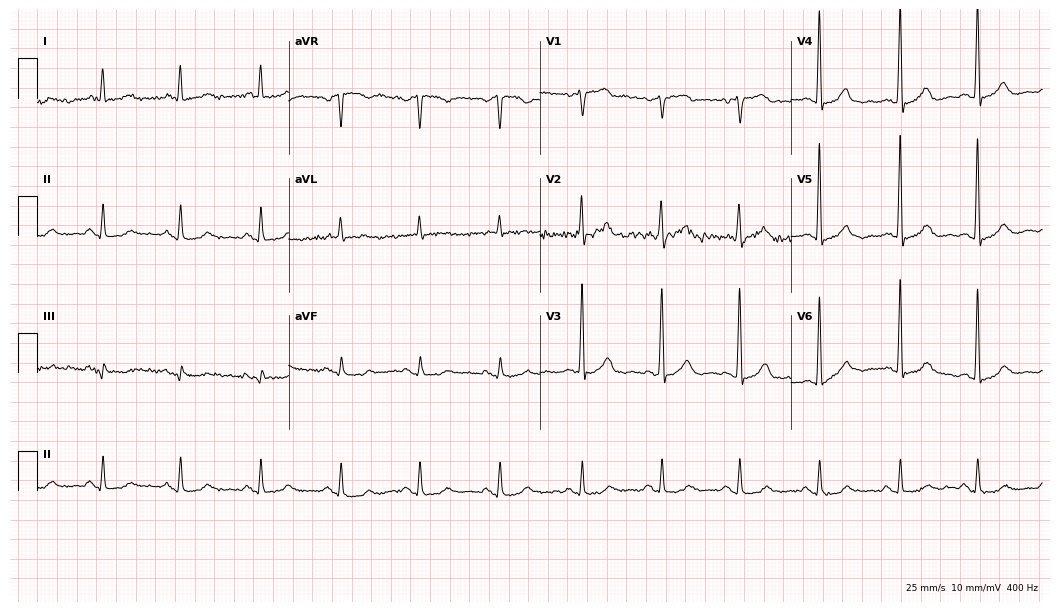
12-lead ECG from a 77-year-old man (10.2-second recording at 400 Hz). No first-degree AV block, right bundle branch block, left bundle branch block, sinus bradycardia, atrial fibrillation or sinus tachycardia recorded for this tracing. Other findings, if any, are not listed.